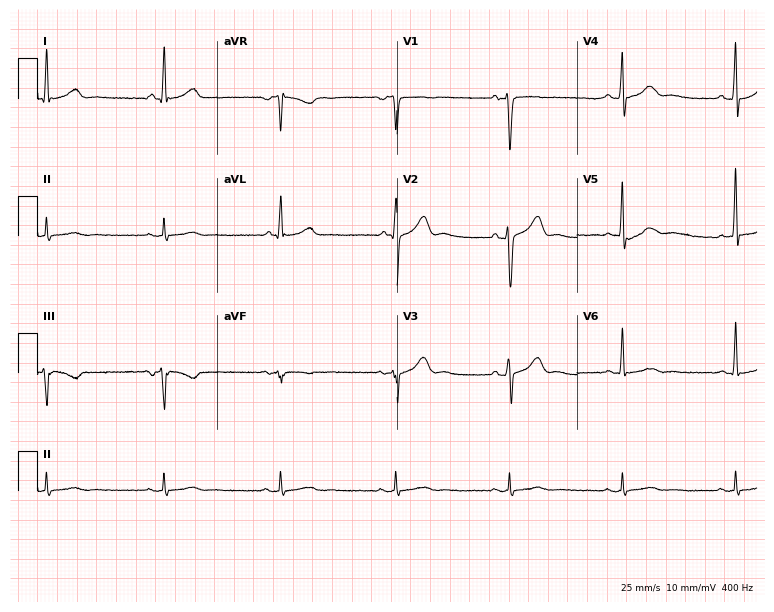
Standard 12-lead ECG recorded from a 64-year-old male patient (7.3-second recording at 400 Hz). None of these six findings is recorded: first-degree AV block, right bundle branch block, left bundle branch block, sinus bradycardia, atrial fibrillation, sinus tachycardia.